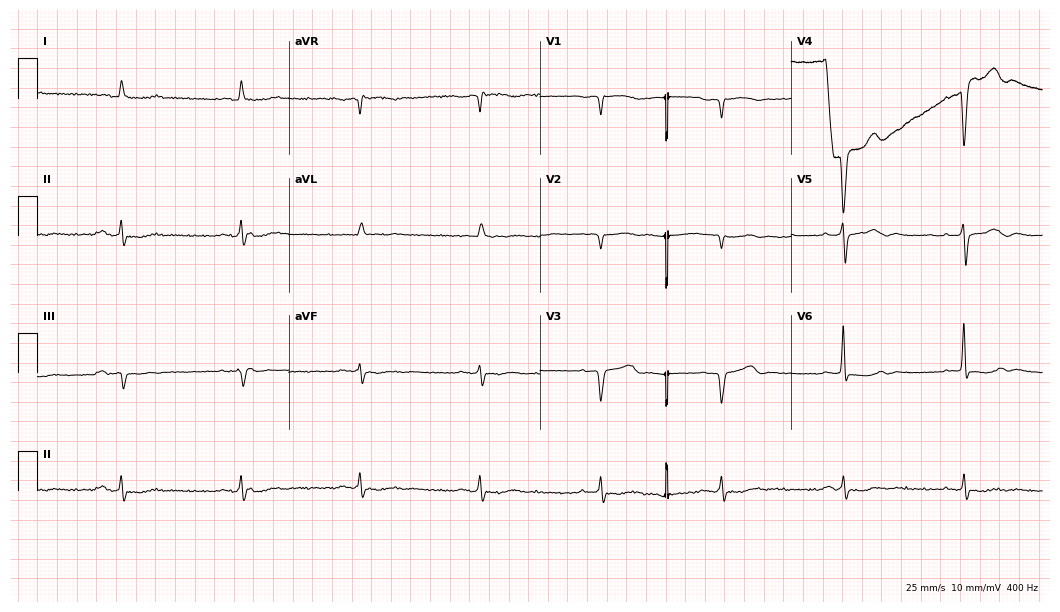
12-lead ECG (10.2-second recording at 400 Hz) from a male, 83 years old. Findings include sinus bradycardia (a sinus rate of 50 beats per minute or less).